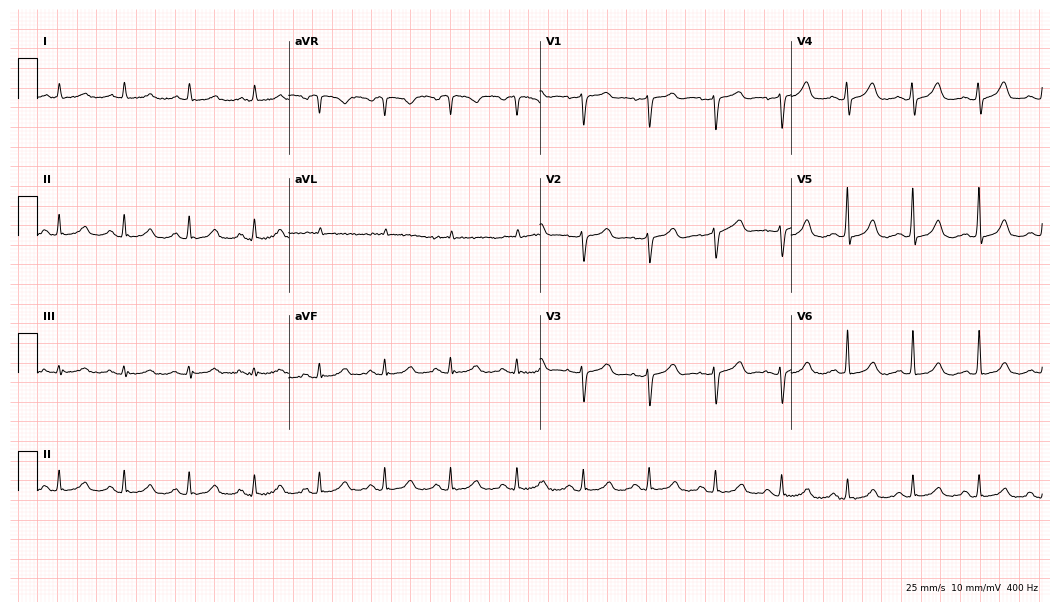
12-lead ECG from a man, 65 years old. Labelled as a normal ECG.